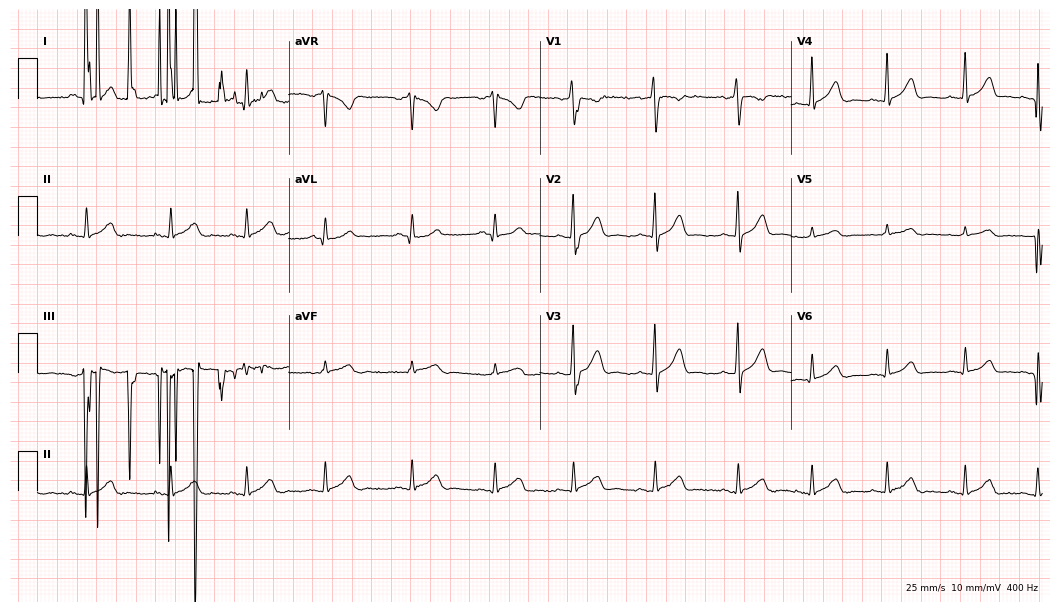
12-lead ECG from a 17-year-old female patient (10.2-second recording at 400 Hz). No first-degree AV block, right bundle branch block, left bundle branch block, sinus bradycardia, atrial fibrillation or sinus tachycardia recorded for this tracing.